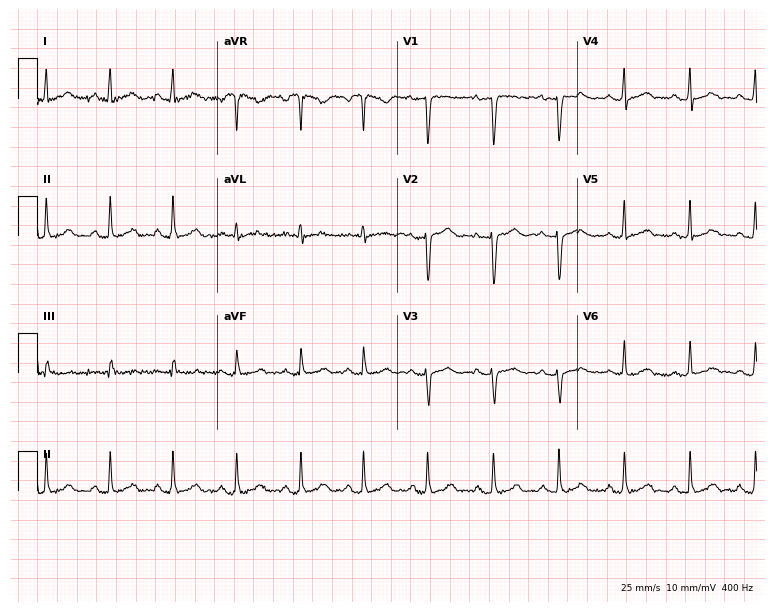
12-lead ECG (7.3-second recording at 400 Hz) from a female, 34 years old. Labelled as a normal ECG.